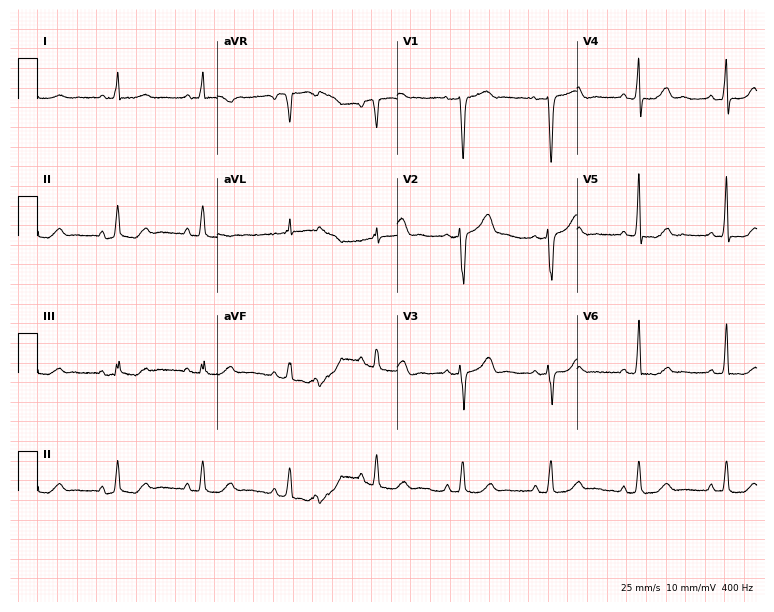
12-lead ECG (7.3-second recording at 400 Hz) from a female patient, 68 years old. Screened for six findings — first-degree AV block, right bundle branch block, left bundle branch block, sinus bradycardia, atrial fibrillation, sinus tachycardia — none is recorded. Only these six findings were labelled.